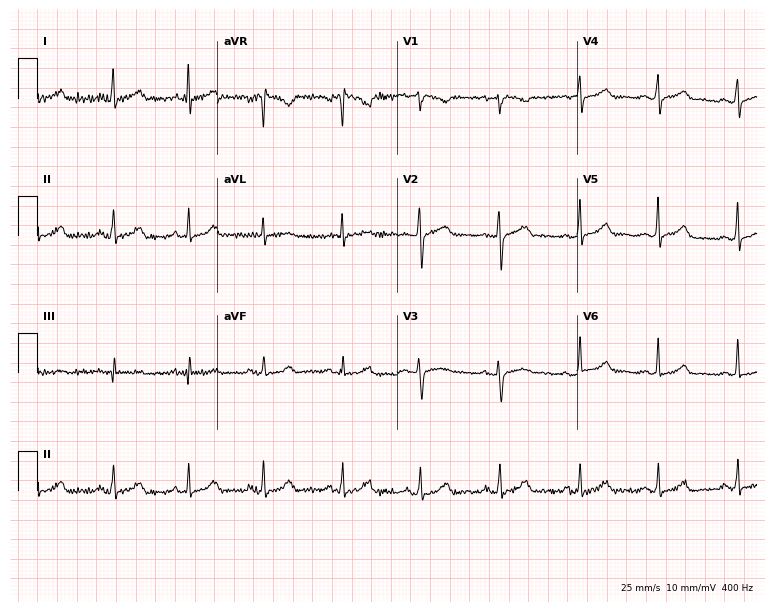
Resting 12-lead electrocardiogram. Patient: a 35-year-old female. Read as a normal ECG.